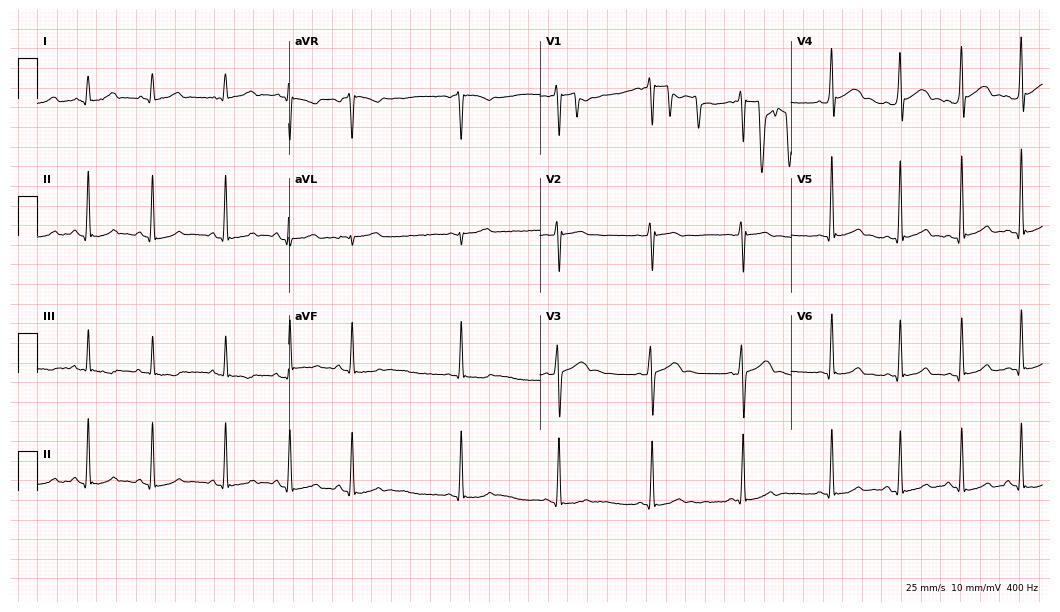
Standard 12-lead ECG recorded from an 18-year-old male (10.2-second recording at 400 Hz). None of these six findings is recorded: first-degree AV block, right bundle branch block (RBBB), left bundle branch block (LBBB), sinus bradycardia, atrial fibrillation (AF), sinus tachycardia.